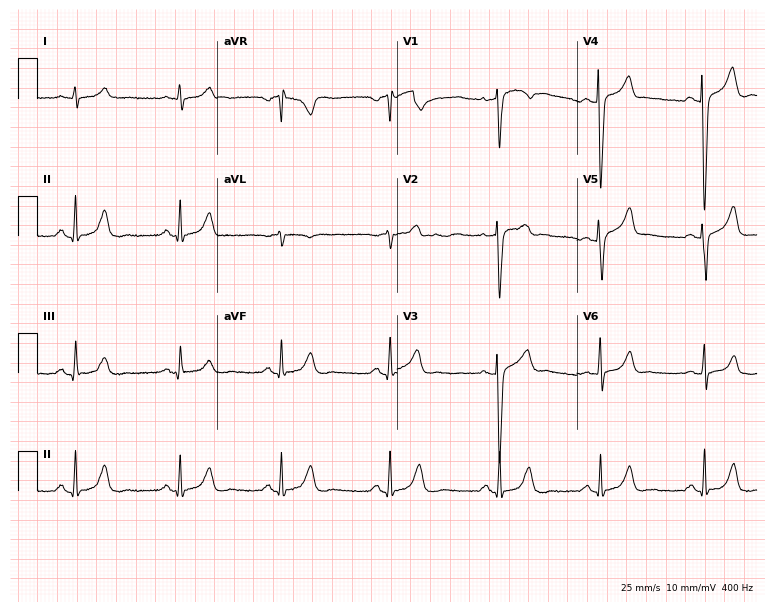
ECG — a male patient, 44 years old. Screened for six findings — first-degree AV block, right bundle branch block (RBBB), left bundle branch block (LBBB), sinus bradycardia, atrial fibrillation (AF), sinus tachycardia — none is recorded.